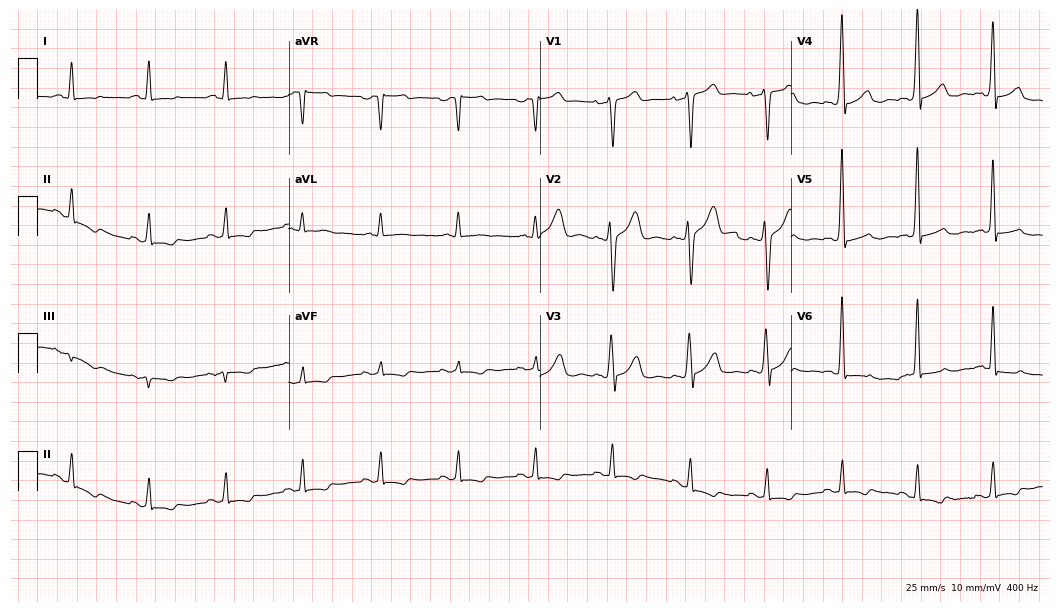
Resting 12-lead electrocardiogram. Patient: a 37-year-old man. None of these six findings is recorded: first-degree AV block, right bundle branch block, left bundle branch block, sinus bradycardia, atrial fibrillation, sinus tachycardia.